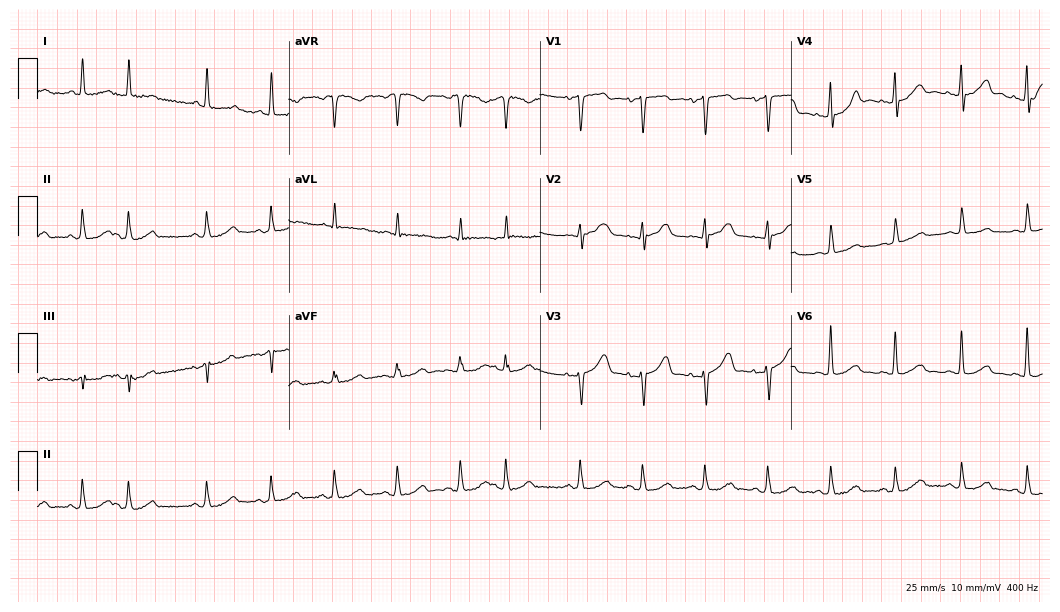
Electrocardiogram (10.2-second recording at 400 Hz), a woman, 60 years old. Of the six screened findings (first-degree AV block, right bundle branch block, left bundle branch block, sinus bradycardia, atrial fibrillation, sinus tachycardia), none is recorded.